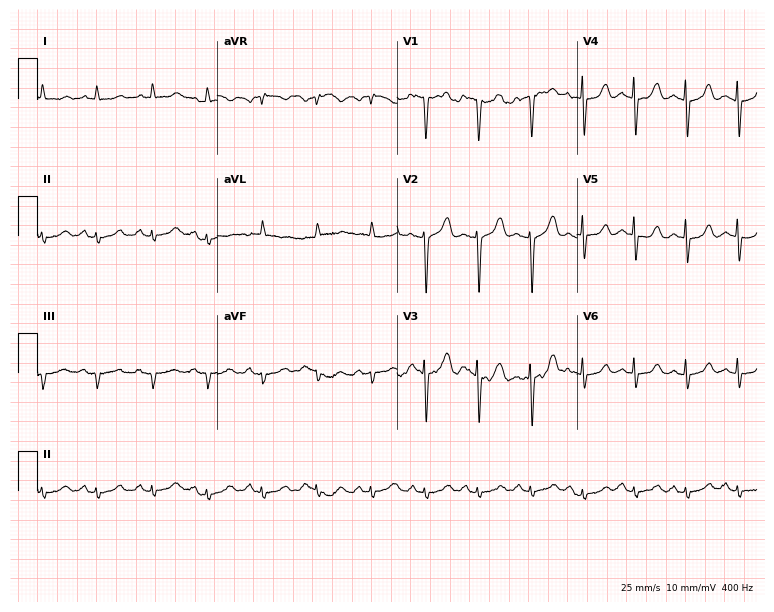
Standard 12-lead ECG recorded from a female, 83 years old. The tracing shows sinus tachycardia (a sinus rate of 100 beats per minute or more).